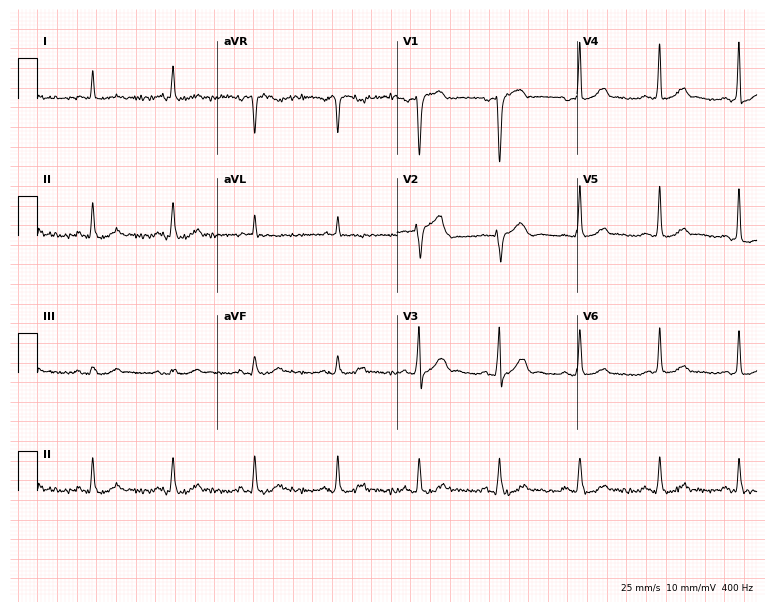
12-lead ECG (7.3-second recording at 400 Hz) from a male patient, 70 years old. Screened for six findings — first-degree AV block, right bundle branch block, left bundle branch block, sinus bradycardia, atrial fibrillation, sinus tachycardia — none is recorded. Only these six findings were labelled.